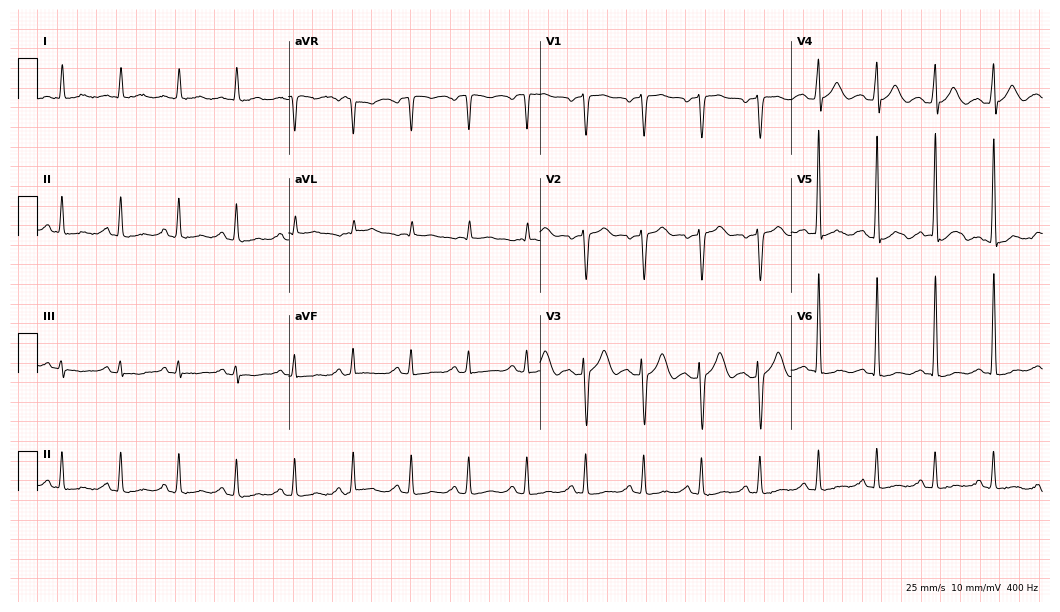
12-lead ECG from a 67-year-old man (10.2-second recording at 400 Hz). Shows sinus tachycardia (a sinus rate of 100 beats per minute or more).